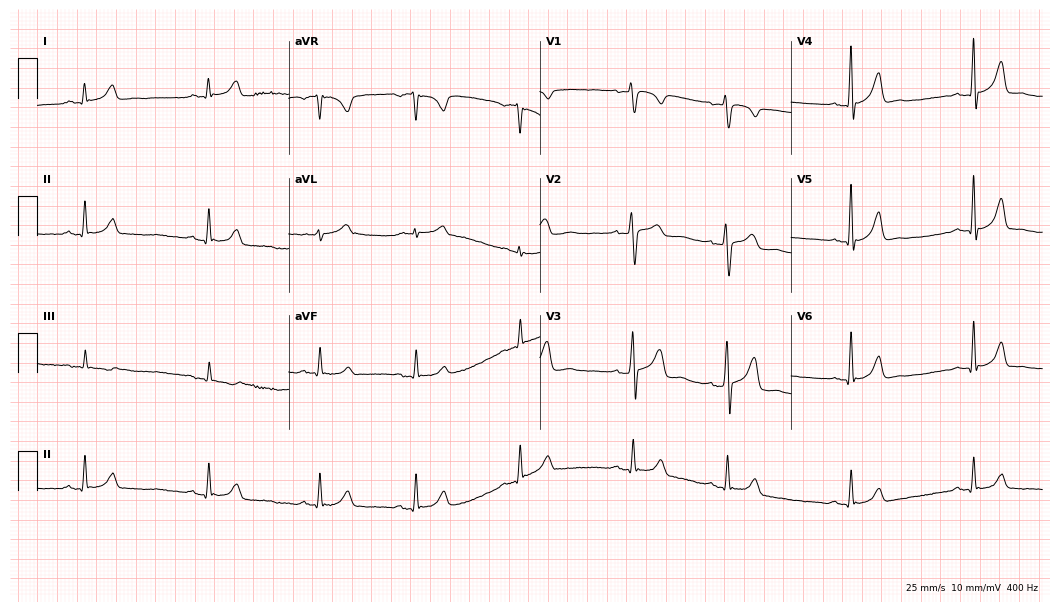
ECG — a 20-year-old male patient. Labelled as a normal ECG.